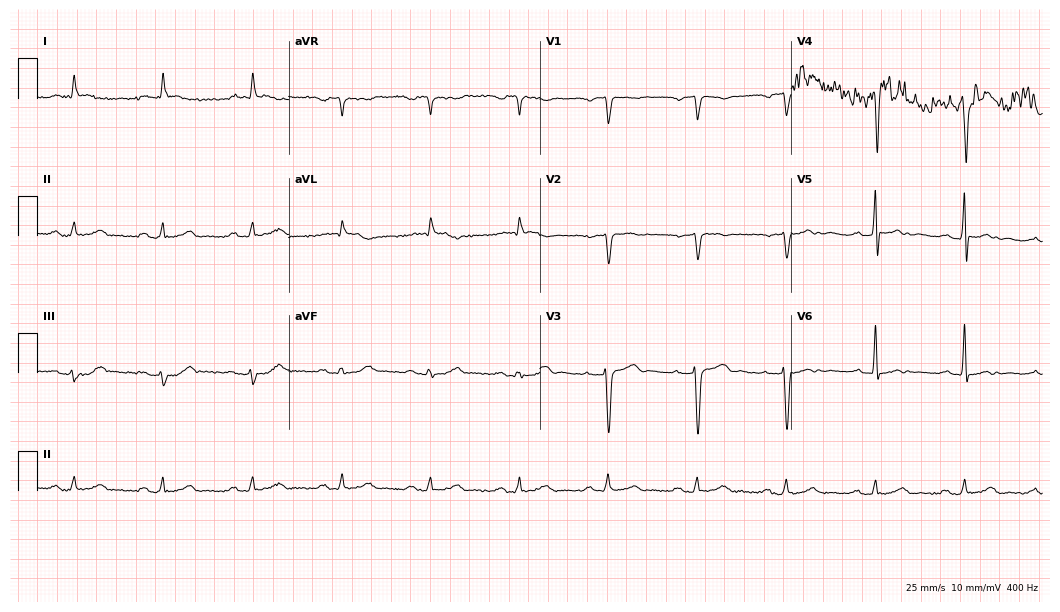
Resting 12-lead electrocardiogram (10.2-second recording at 400 Hz). Patient: a man, 75 years old. None of these six findings is recorded: first-degree AV block, right bundle branch block, left bundle branch block, sinus bradycardia, atrial fibrillation, sinus tachycardia. Only these six findings were labelled.